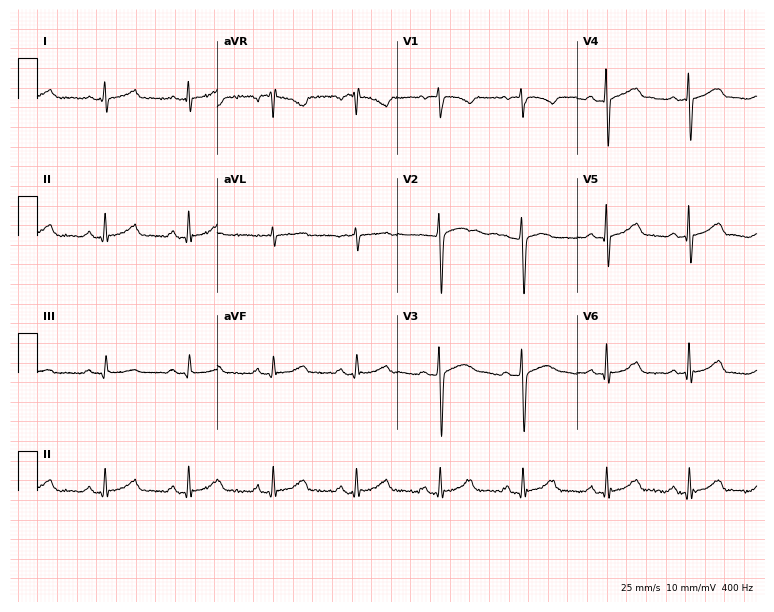
Electrocardiogram, a 57-year-old female patient. Of the six screened findings (first-degree AV block, right bundle branch block (RBBB), left bundle branch block (LBBB), sinus bradycardia, atrial fibrillation (AF), sinus tachycardia), none is recorded. Only these six findings were labelled.